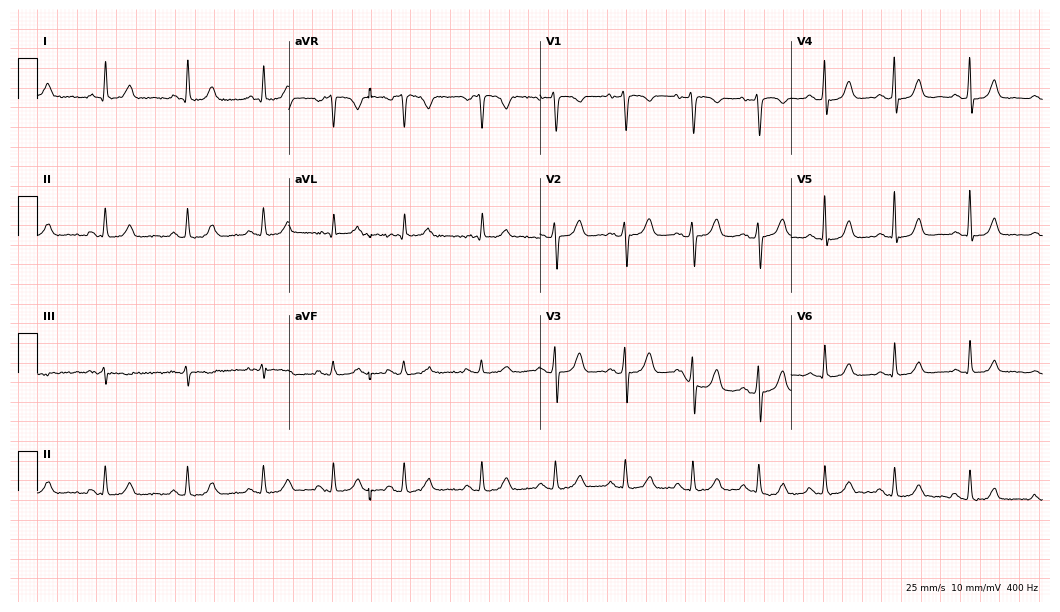
Resting 12-lead electrocardiogram (10.2-second recording at 400 Hz). Patient: a female, 42 years old. Read as a normal ECG.